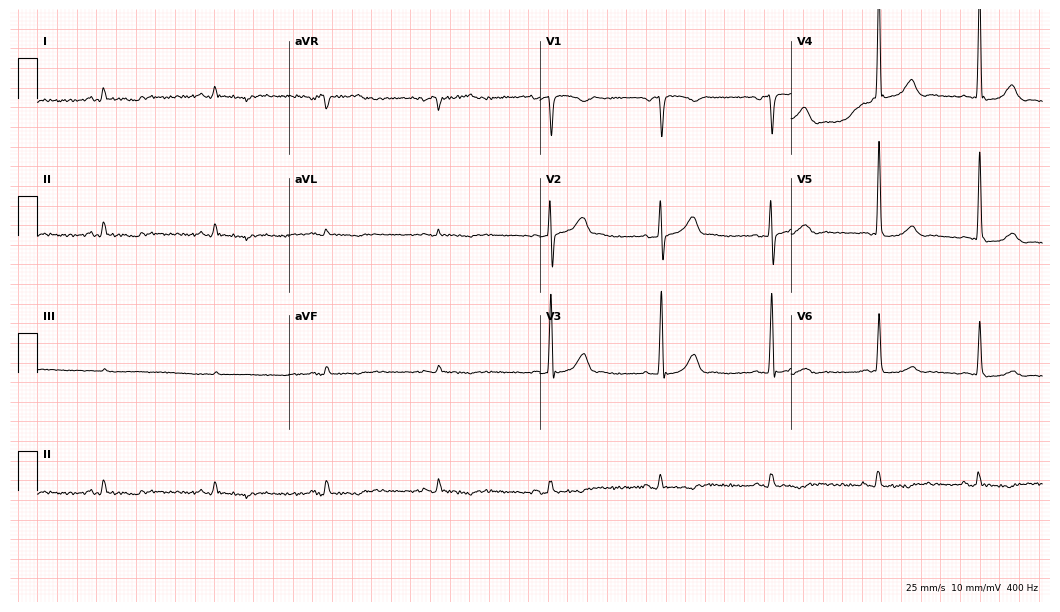
Standard 12-lead ECG recorded from a 70-year-old male patient. None of these six findings is recorded: first-degree AV block, right bundle branch block, left bundle branch block, sinus bradycardia, atrial fibrillation, sinus tachycardia.